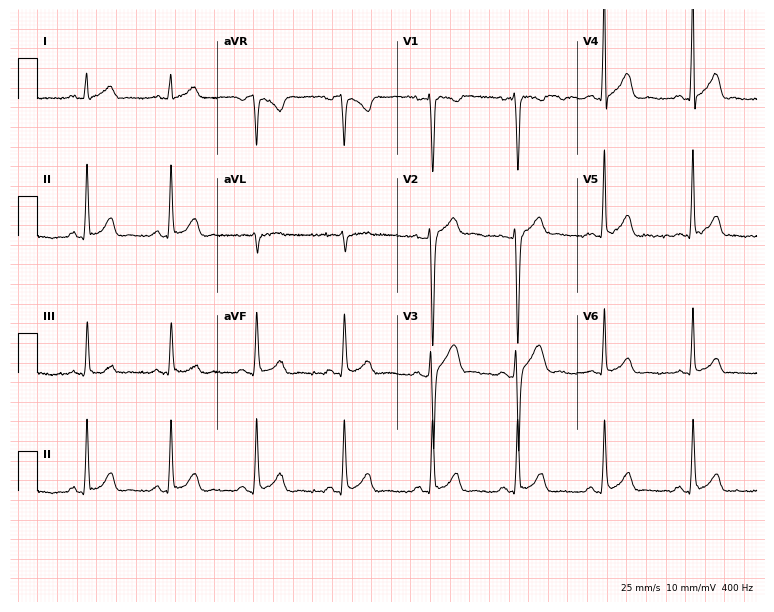
ECG (7.3-second recording at 400 Hz) — a male, 28 years old. Labelled as a normal ECG.